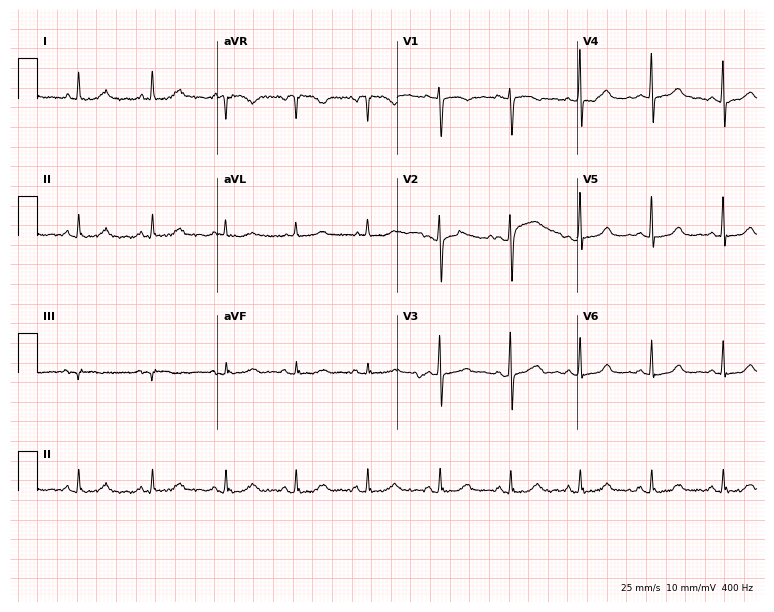
ECG — a woman, 56 years old. Labelled as a normal ECG.